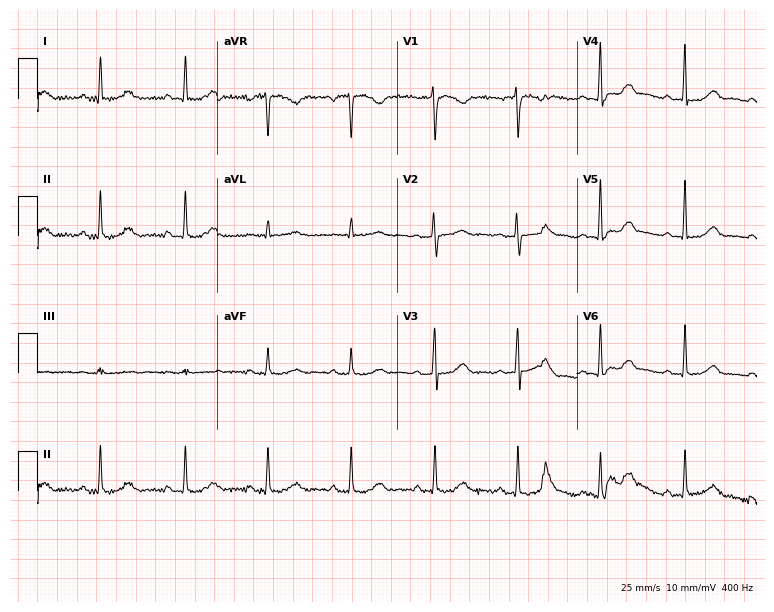
ECG (7.3-second recording at 400 Hz) — a 66-year-old female. Labelled as a normal ECG.